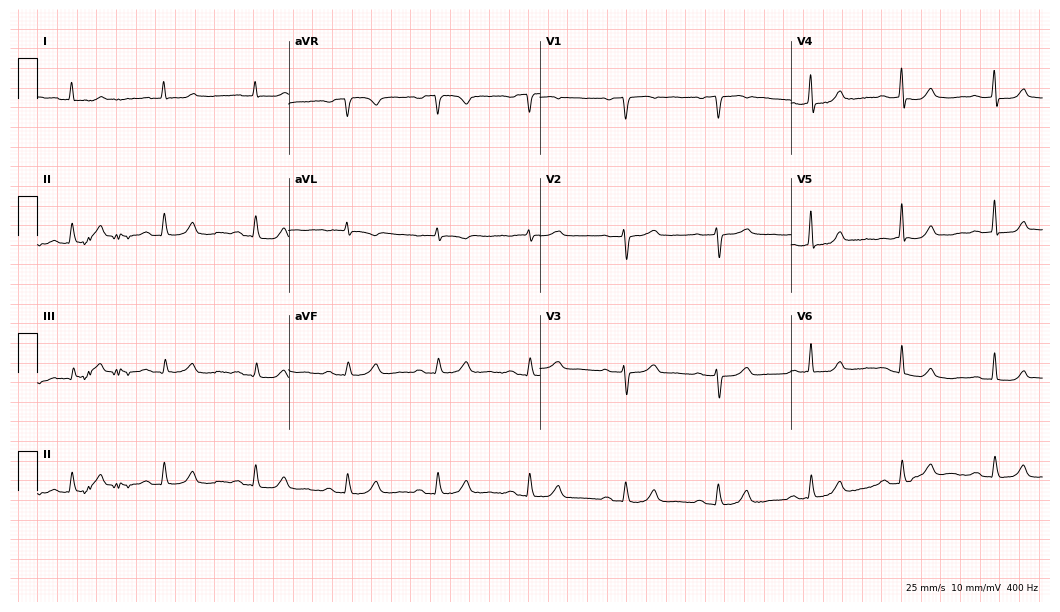
Electrocardiogram (10.2-second recording at 400 Hz), a 78-year-old female. Overall reading on record: normal ECG.